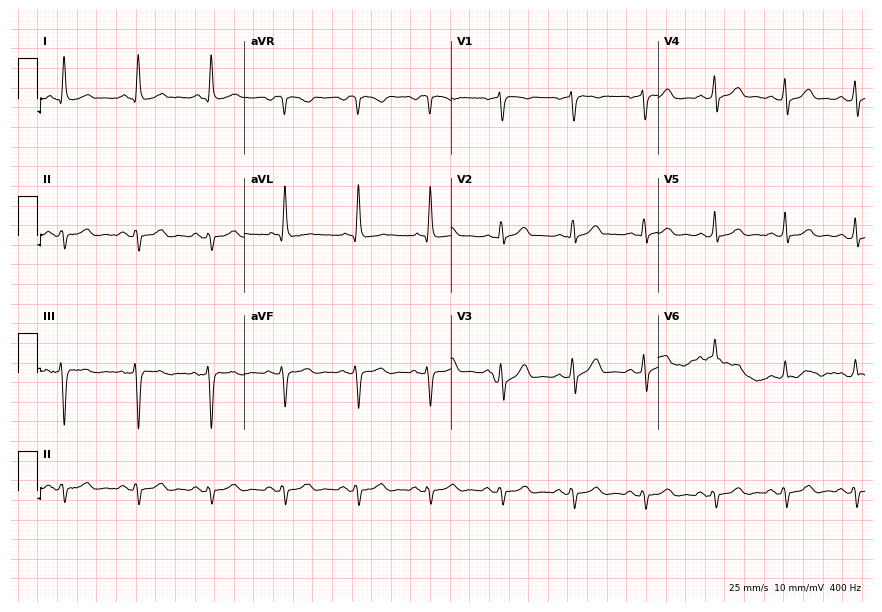
12-lead ECG (8.4-second recording at 400 Hz) from a 62-year-old male patient. Screened for six findings — first-degree AV block, right bundle branch block, left bundle branch block, sinus bradycardia, atrial fibrillation, sinus tachycardia — none is recorded.